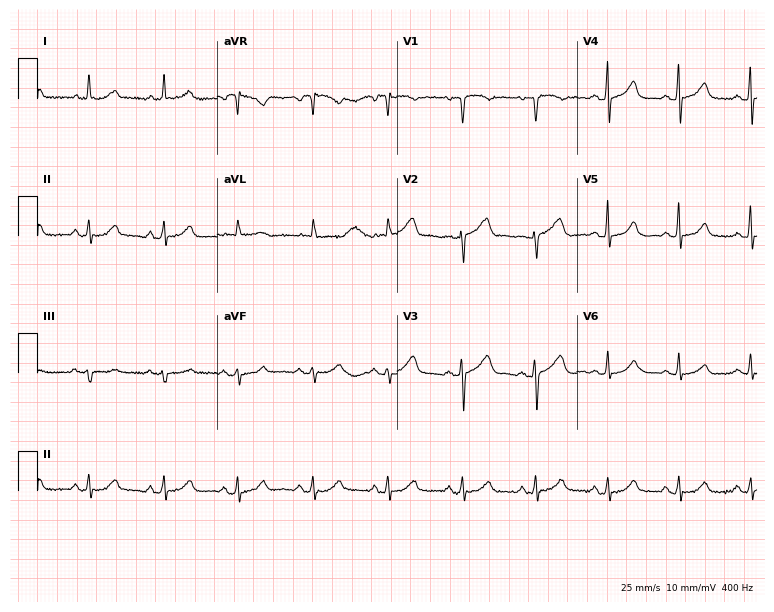
12-lead ECG from a 69-year-old female (7.3-second recording at 400 Hz). Recorded interpretation: within normal limits.